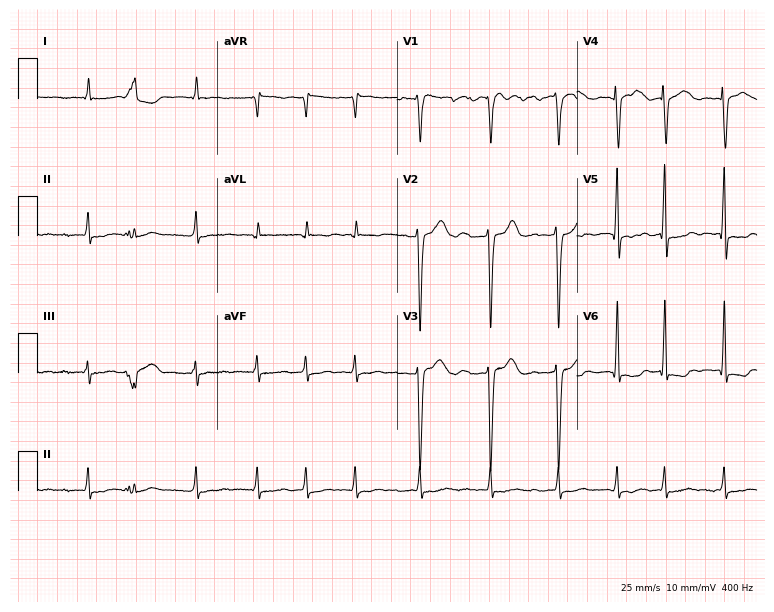
Resting 12-lead electrocardiogram (7.3-second recording at 400 Hz). Patient: an 83-year-old woman. The tracing shows atrial fibrillation (AF).